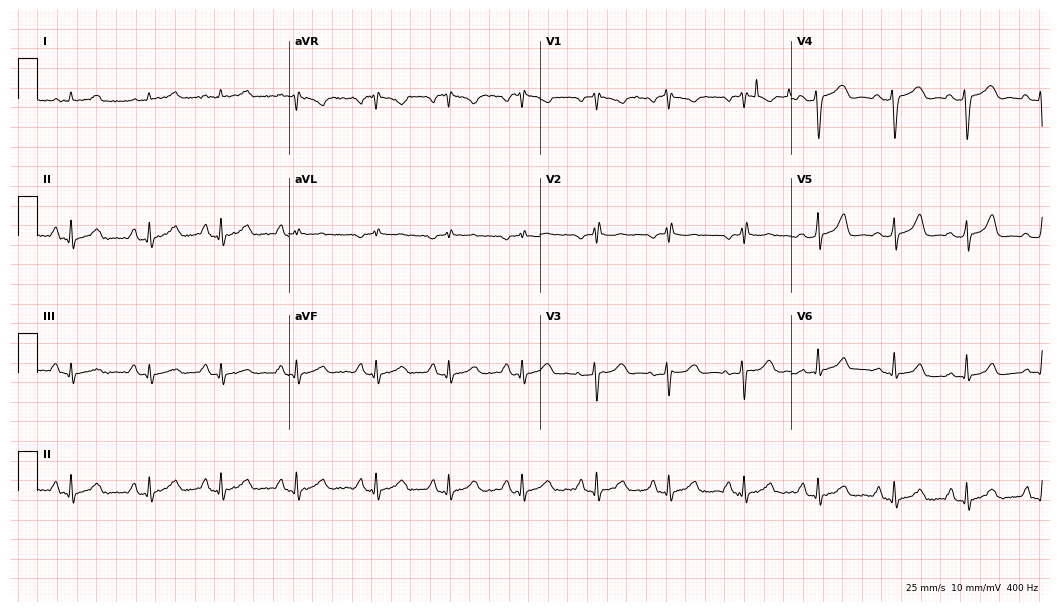
ECG (10.2-second recording at 400 Hz) — a 38-year-old female. Screened for six findings — first-degree AV block, right bundle branch block, left bundle branch block, sinus bradycardia, atrial fibrillation, sinus tachycardia — none is recorded.